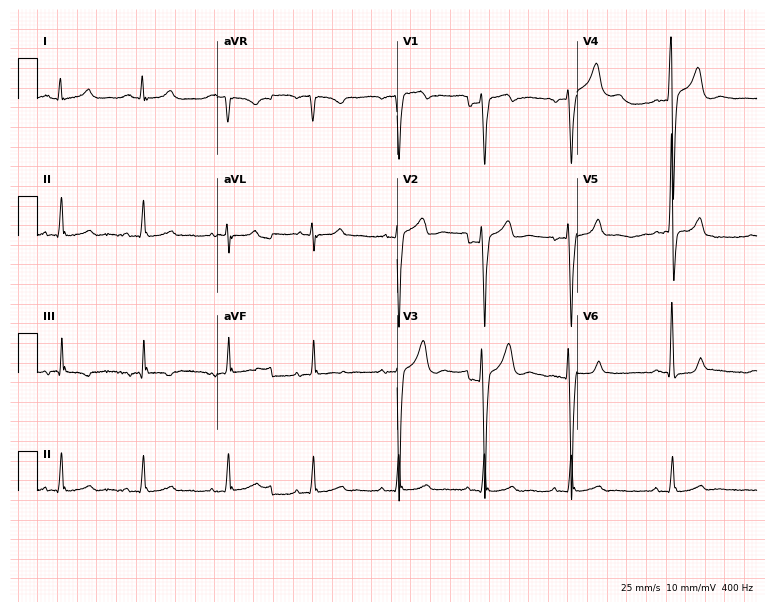
12-lead ECG from a 17-year-old woman (7.3-second recording at 400 Hz). No first-degree AV block, right bundle branch block (RBBB), left bundle branch block (LBBB), sinus bradycardia, atrial fibrillation (AF) or sinus tachycardia recorded for this tracing. Findings outside these six are not listed.